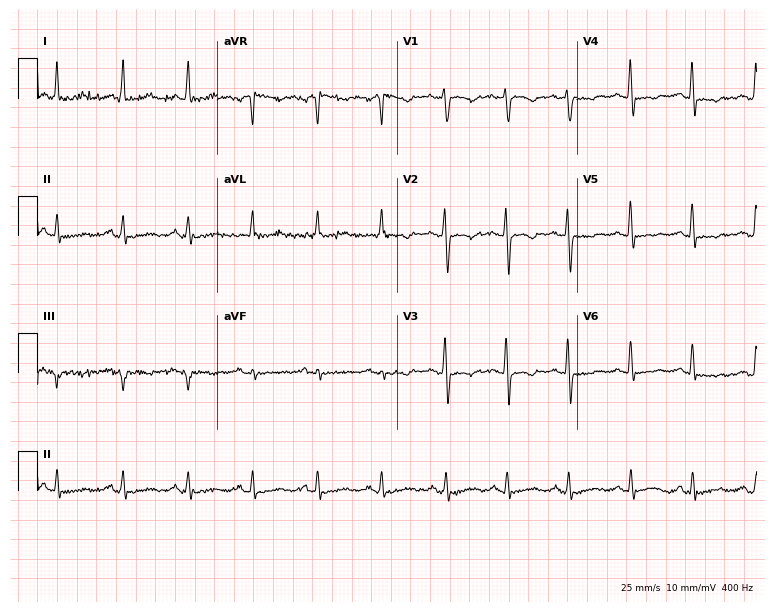
Resting 12-lead electrocardiogram (7.3-second recording at 400 Hz). Patient: a 41-year-old female. Read as a normal ECG.